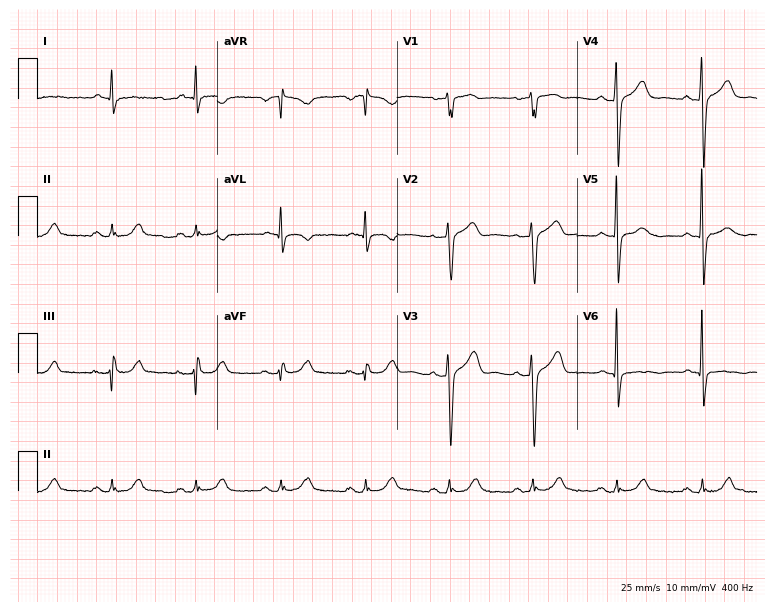
ECG (7.3-second recording at 400 Hz) — a 67-year-old man. Screened for six findings — first-degree AV block, right bundle branch block, left bundle branch block, sinus bradycardia, atrial fibrillation, sinus tachycardia — none is recorded.